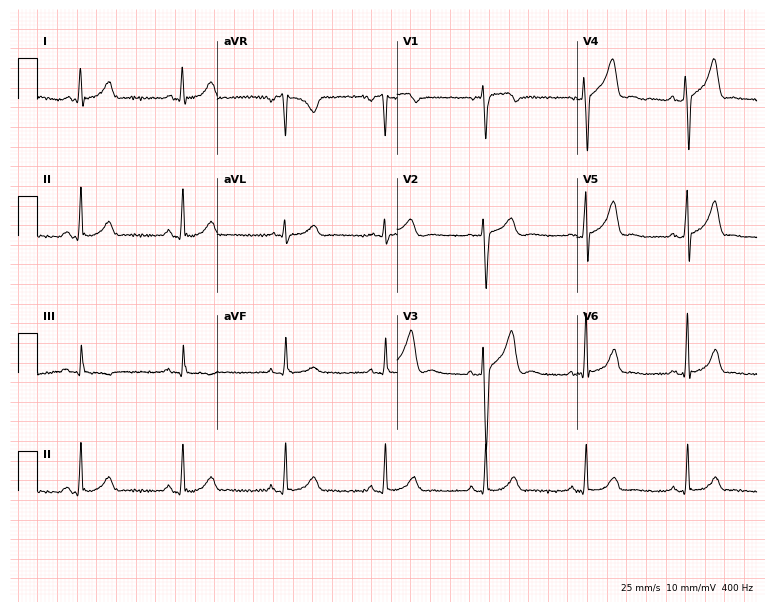
ECG — a 37-year-old male patient. Labelled as a normal ECG.